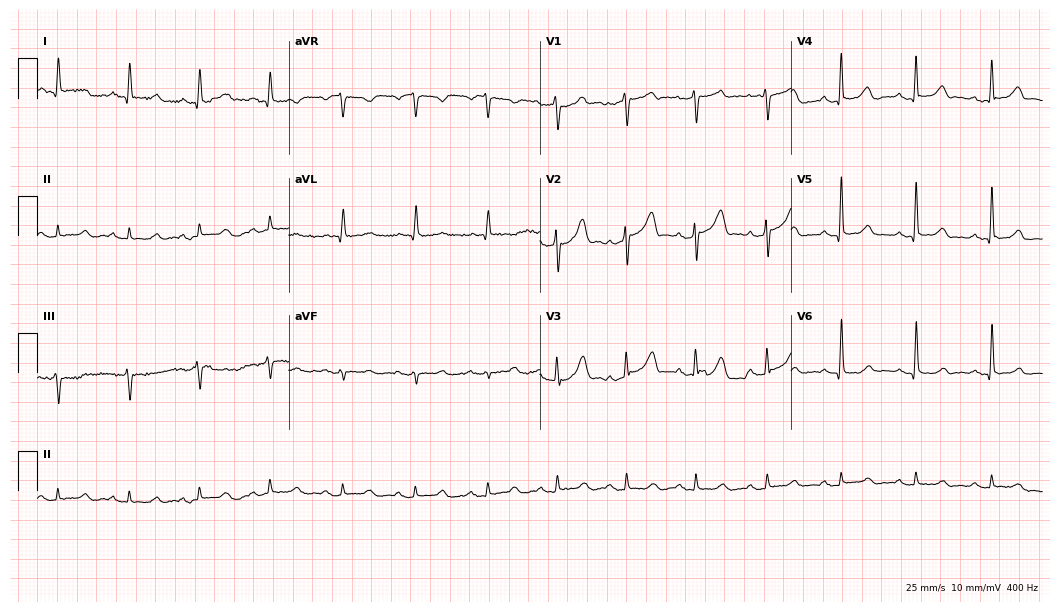
Standard 12-lead ECG recorded from a 54-year-old female. Read as a normal ECG.